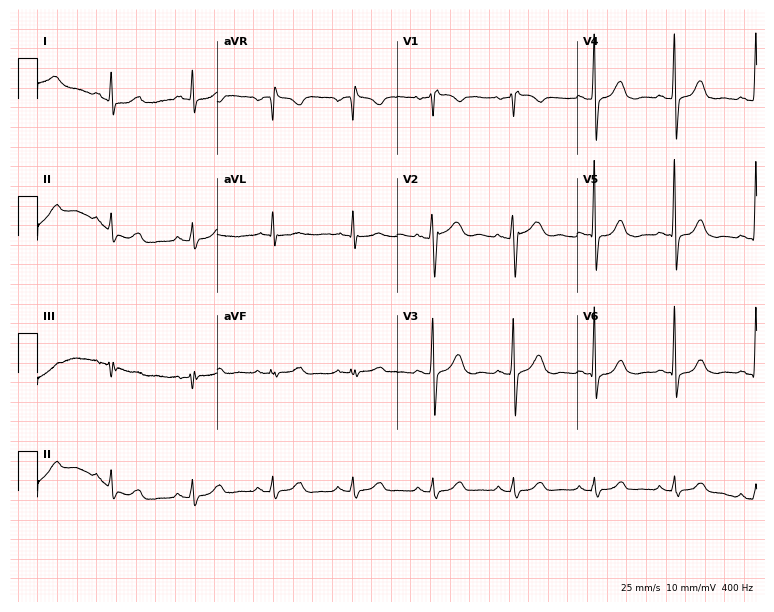
Electrocardiogram (7.3-second recording at 400 Hz), a 58-year-old female. Of the six screened findings (first-degree AV block, right bundle branch block, left bundle branch block, sinus bradycardia, atrial fibrillation, sinus tachycardia), none is recorded.